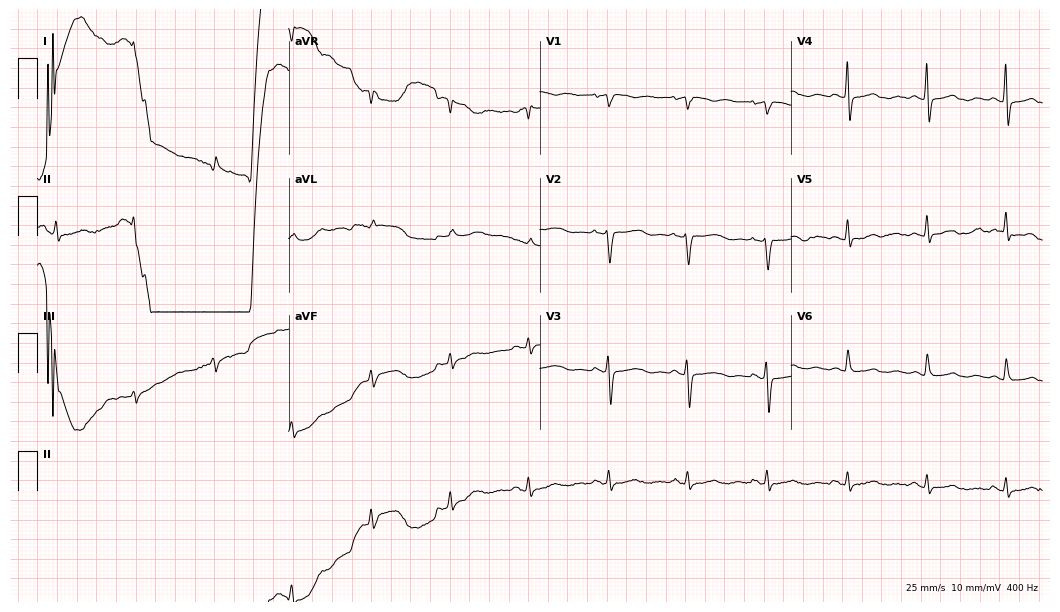
Resting 12-lead electrocardiogram. Patient: a female, 67 years old. None of these six findings is recorded: first-degree AV block, right bundle branch block (RBBB), left bundle branch block (LBBB), sinus bradycardia, atrial fibrillation (AF), sinus tachycardia. Findings outside these six are not listed.